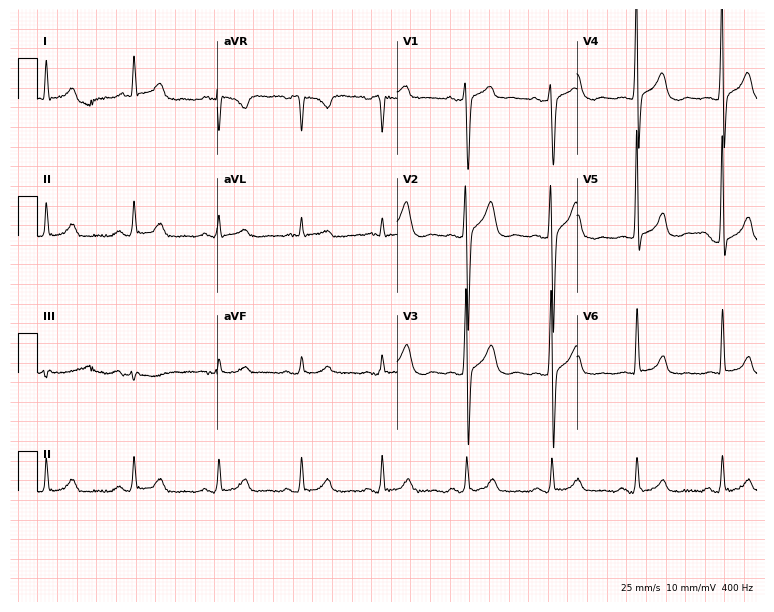
Standard 12-lead ECG recorded from a 54-year-old male (7.3-second recording at 400 Hz). None of these six findings is recorded: first-degree AV block, right bundle branch block, left bundle branch block, sinus bradycardia, atrial fibrillation, sinus tachycardia. Only these six findings were labelled.